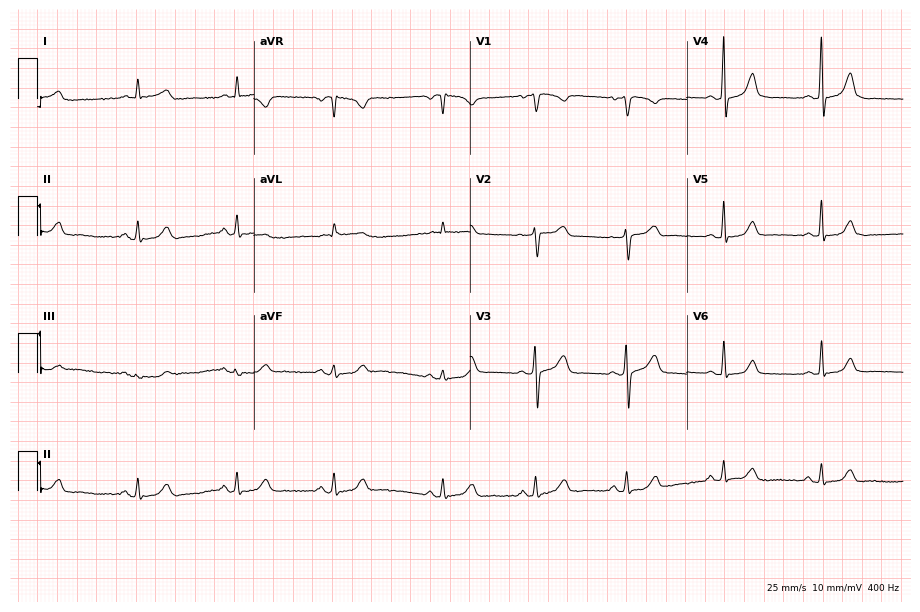
12-lead ECG from a woman, 57 years old. Labelled as a normal ECG.